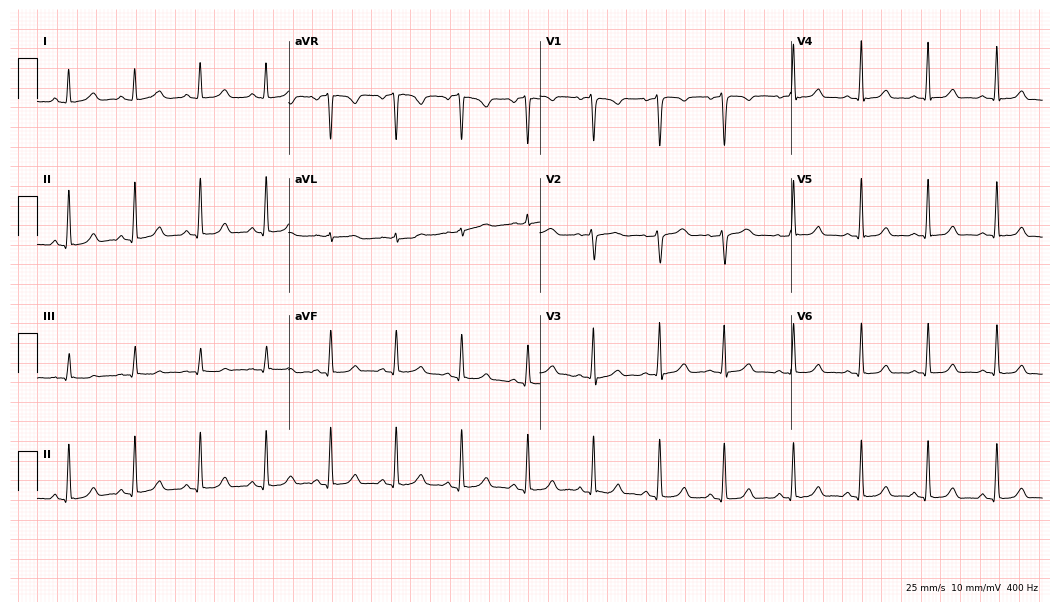
12-lead ECG from a 30-year-old female patient. Recorded interpretation: within normal limits.